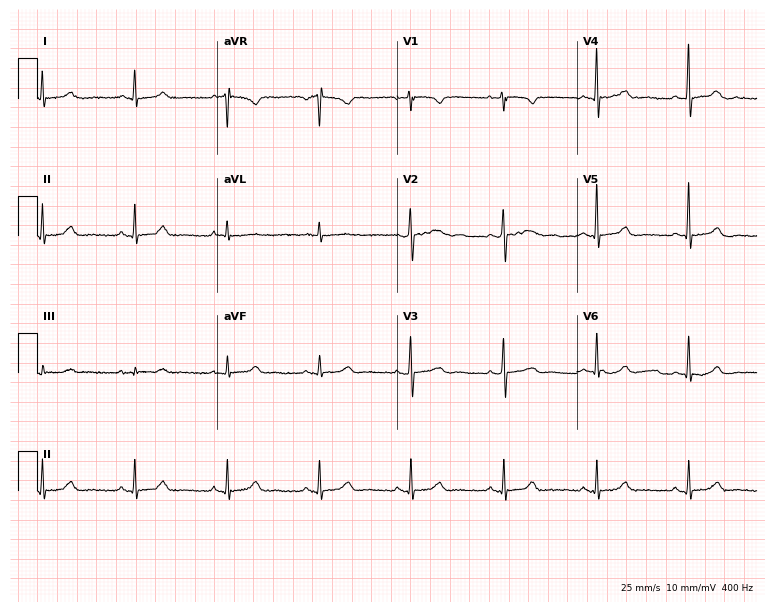
Resting 12-lead electrocardiogram (7.3-second recording at 400 Hz). Patient: a 66-year-old female. Read as a normal ECG.